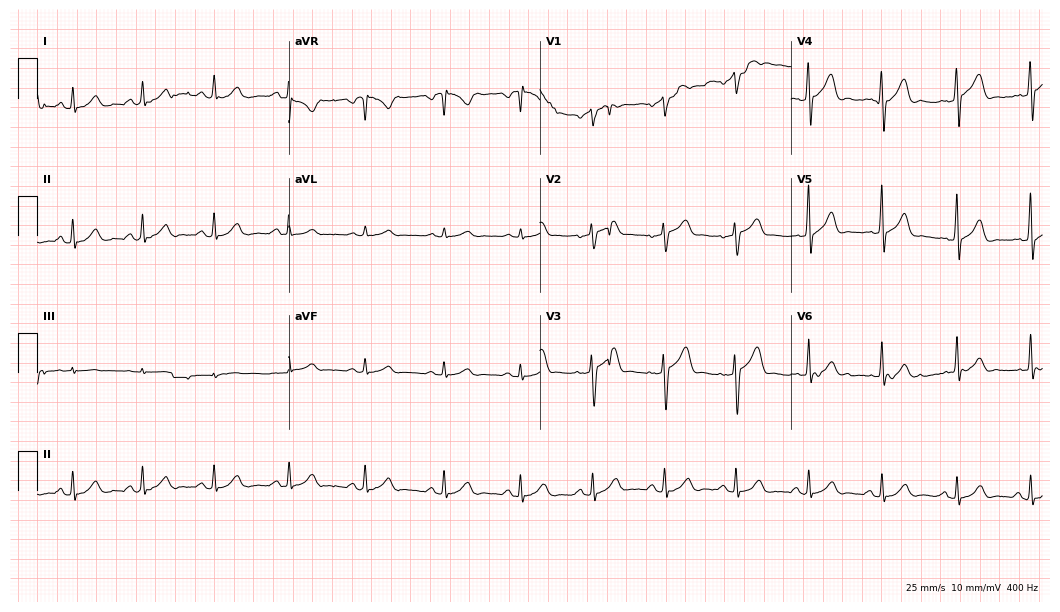
Resting 12-lead electrocardiogram. Patient: a 55-year-old male. Read as a normal ECG.